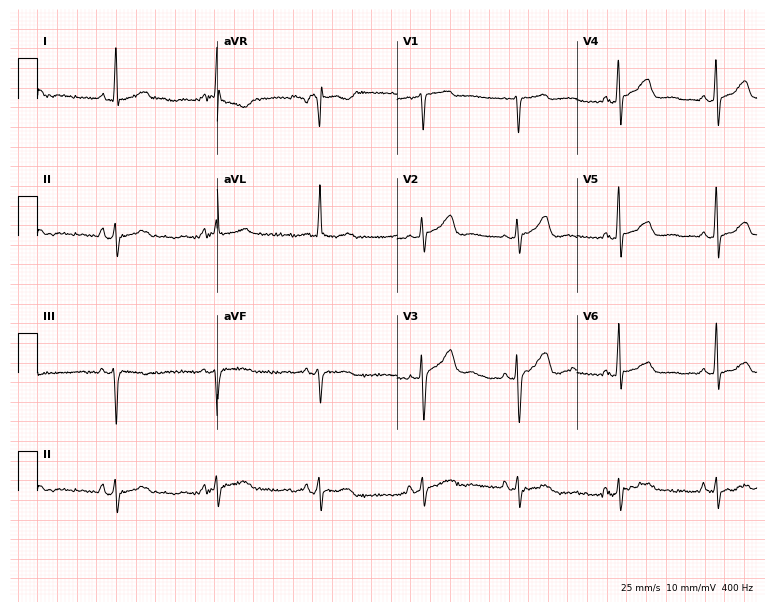
Standard 12-lead ECG recorded from a female patient, 61 years old (7.3-second recording at 400 Hz). None of these six findings is recorded: first-degree AV block, right bundle branch block (RBBB), left bundle branch block (LBBB), sinus bradycardia, atrial fibrillation (AF), sinus tachycardia.